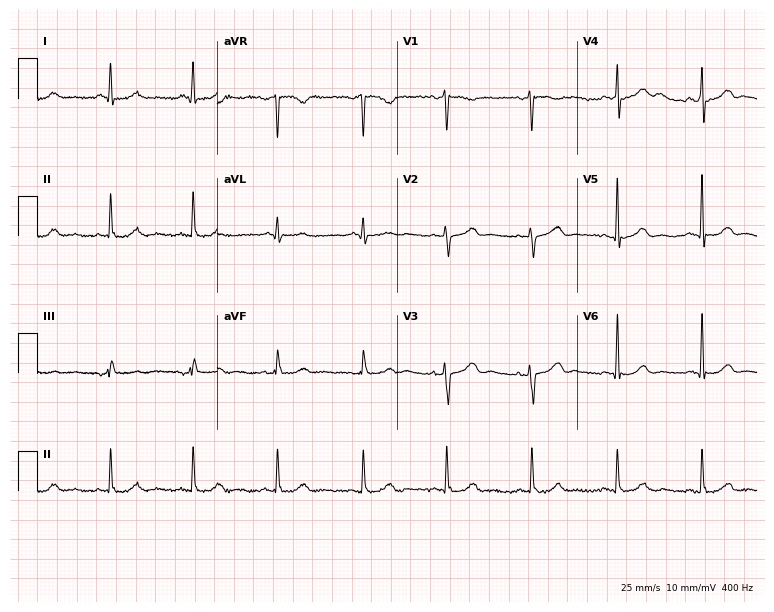
ECG (7.3-second recording at 400 Hz) — a 49-year-old female. Labelled as a normal ECG.